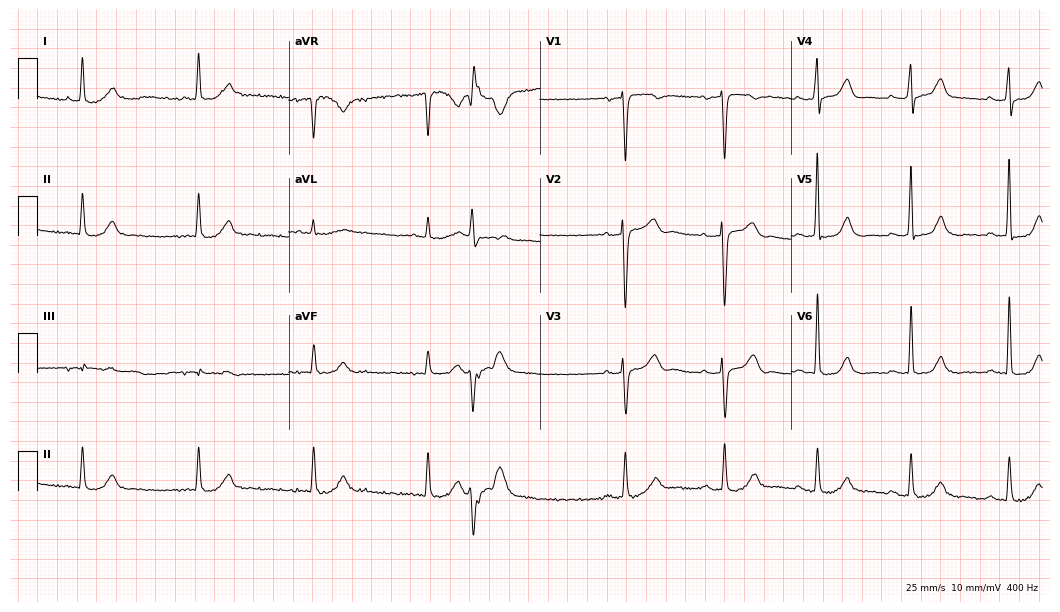
Electrocardiogram (10.2-second recording at 400 Hz), a male, 81 years old. Of the six screened findings (first-degree AV block, right bundle branch block (RBBB), left bundle branch block (LBBB), sinus bradycardia, atrial fibrillation (AF), sinus tachycardia), none is recorded. Findings outside these six are not listed.